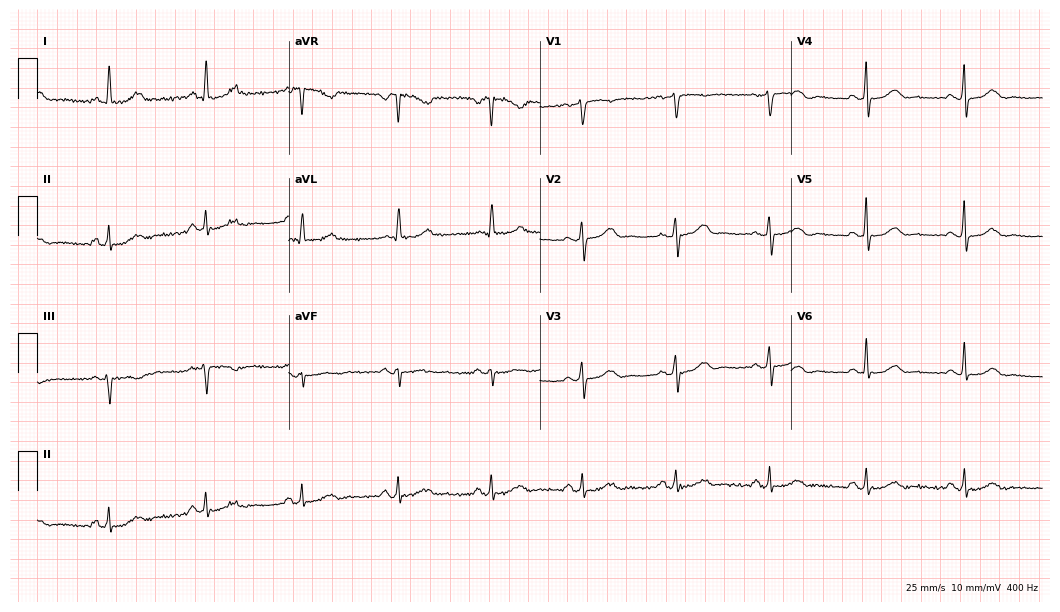
Electrocardiogram (10.2-second recording at 400 Hz), a female patient, 57 years old. Of the six screened findings (first-degree AV block, right bundle branch block (RBBB), left bundle branch block (LBBB), sinus bradycardia, atrial fibrillation (AF), sinus tachycardia), none is recorded. Only these six findings were labelled.